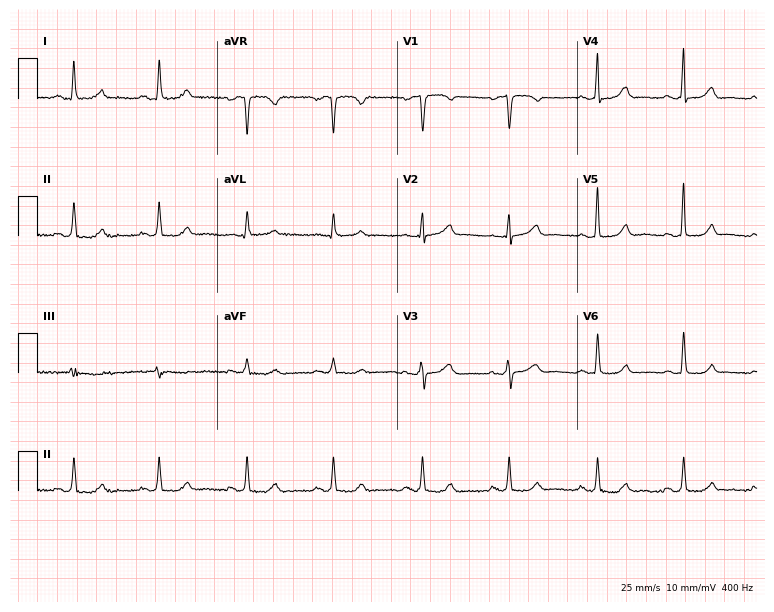
12-lead ECG from a 65-year-old female. Labelled as a normal ECG.